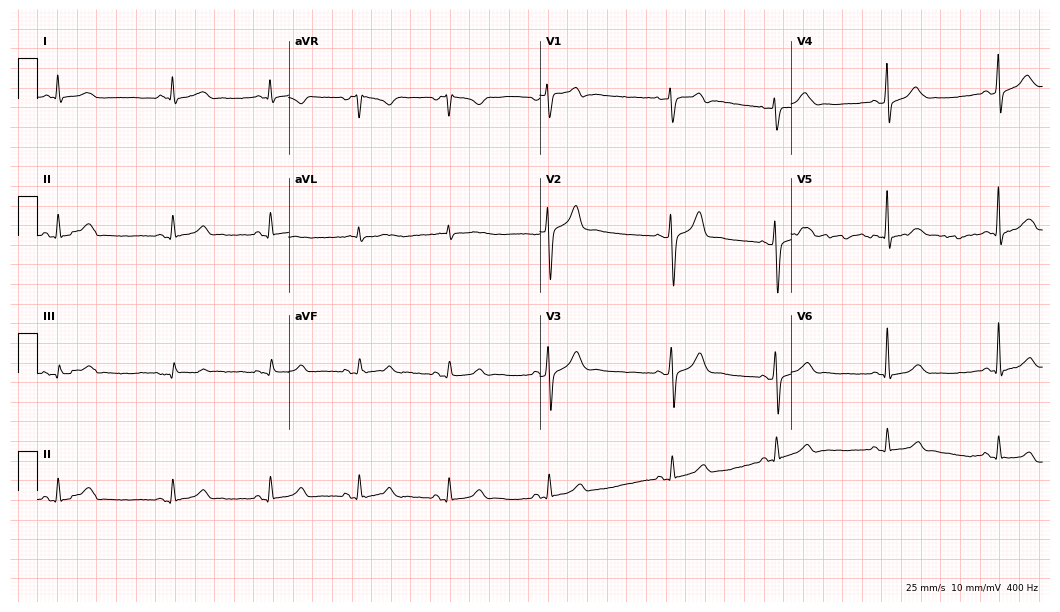
12-lead ECG from a 38-year-old male. No first-degree AV block, right bundle branch block (RBBB), left bundle branch block (LBBB), sinus bradycardia, atrial fibrillation (AF) or sinus tachycardia recorded for this tracing.